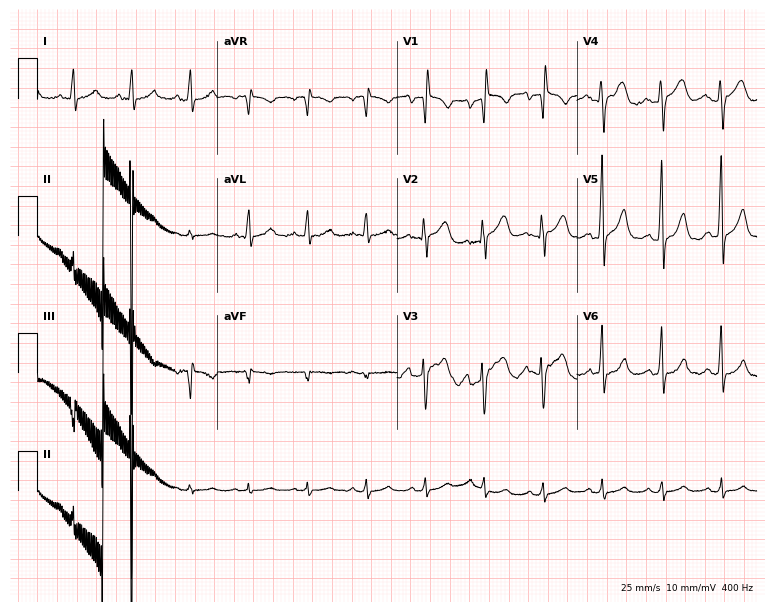
12-lead ECG from a male patient, 64 years old (7.3-second recording at 400 Hz). No first-degree AV block, right bundle branch block, left bundle branch block, sinus bradycardia, atrial fibrillation or sinus tachycardia recorded for this tracing. Only these six findings were labelled.